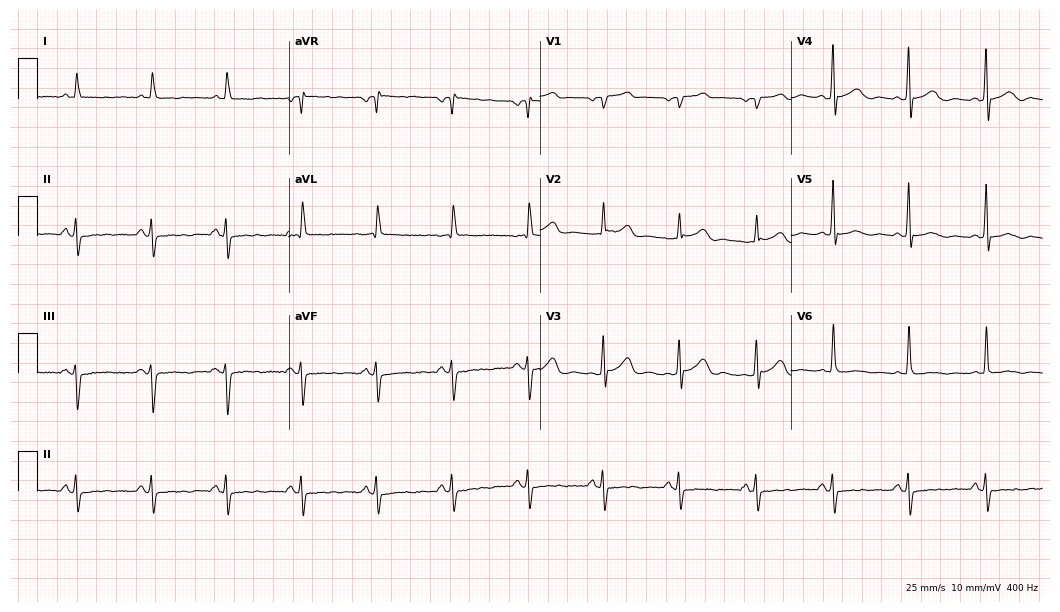
Standard 12-lead ECG recorded from a male, 59 years old. None of these six findings is recorded: first-degree AV block, right bundle branch block (RBBB), left bundle branch block (LBBB), sinus bradycardia, atrial fibrillation (AF), sinus tachycardia.